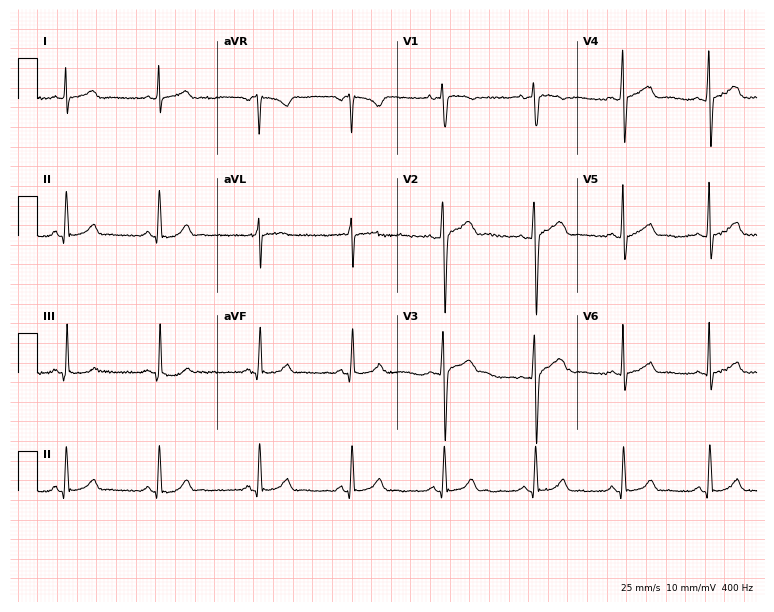
Electrocardiogram, a woman, 18 years old. Overall reading on record: normal ECG.